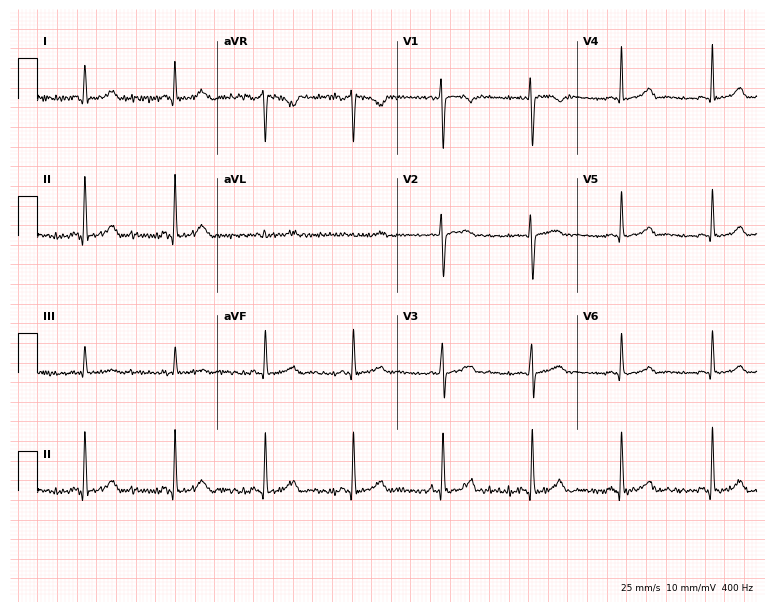
Standard 12-lead ECG recorded from a woman, 38 years old. Read as a normal ECG.